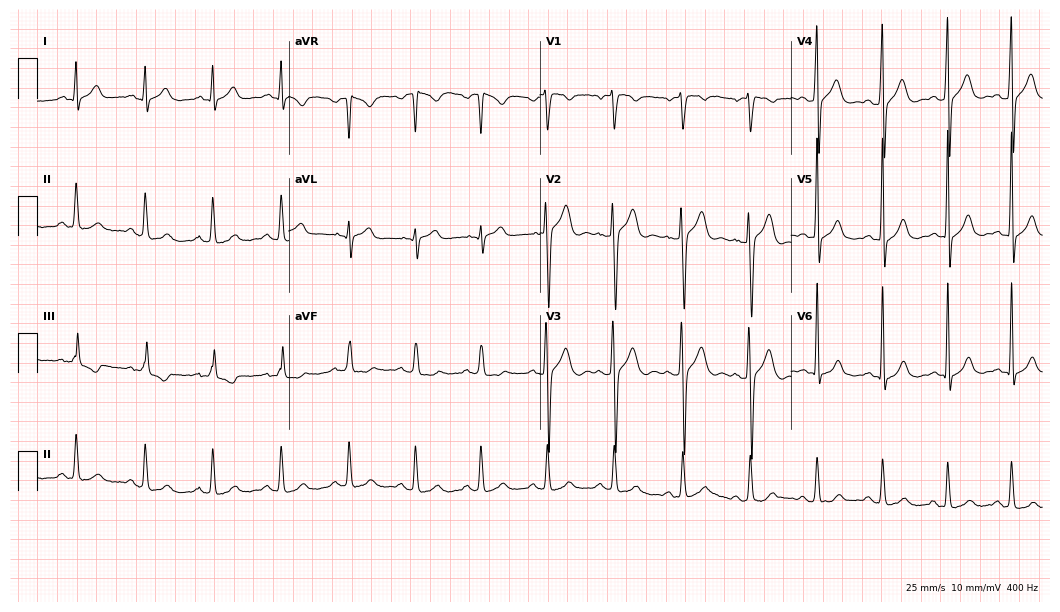
12-lead ECG (10.2-second recording at 400 Hz) from a male patient, 25 years old. Labelled as a normal ECG.